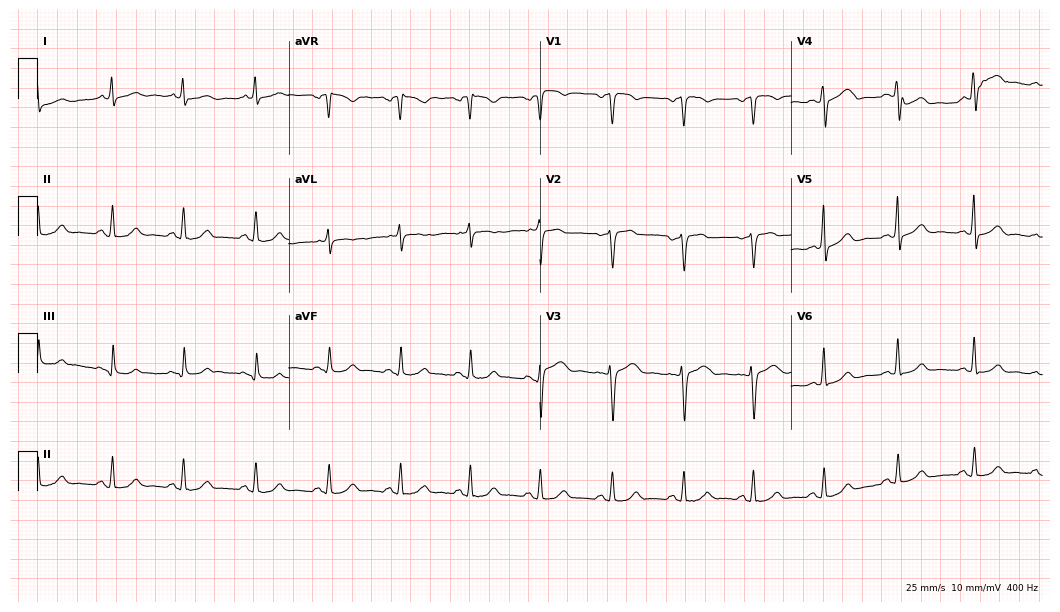
Electrocardiogram, a female patient, 53 years old. Of the six screened findings (first-degree AV block, right bundle branch block, left bundle branch block, sinus bradycardia, atrial fibrillation, sinus tachycardia), none is recorded. Only these six findings were labelled.